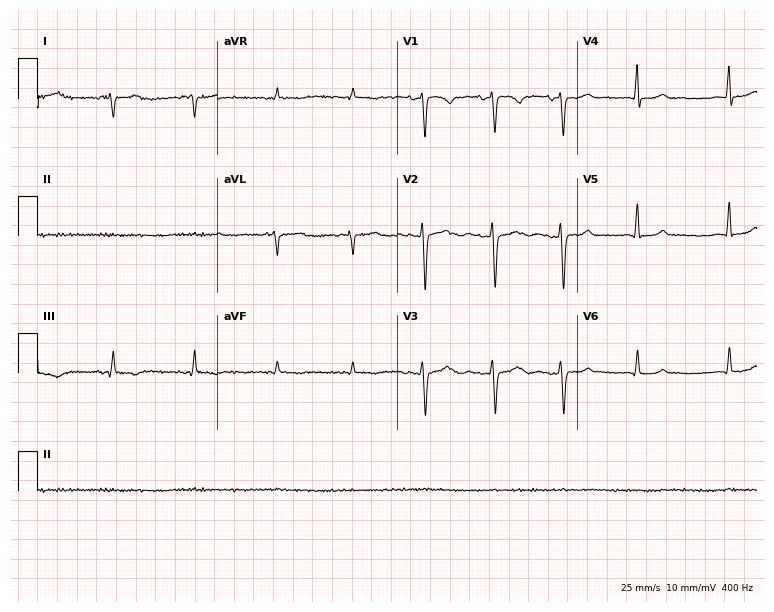
Standard 12-lead ECG recorded from a female patient, 30 years old (7.3-second recording at 400 Hz). None of these six findings is recorded: first-degree AV block, right bundle branch block, left bundle branch block, sinus bradycardia, atrial fibrillation, sinus tachycardia. Only these six findings were labelled.